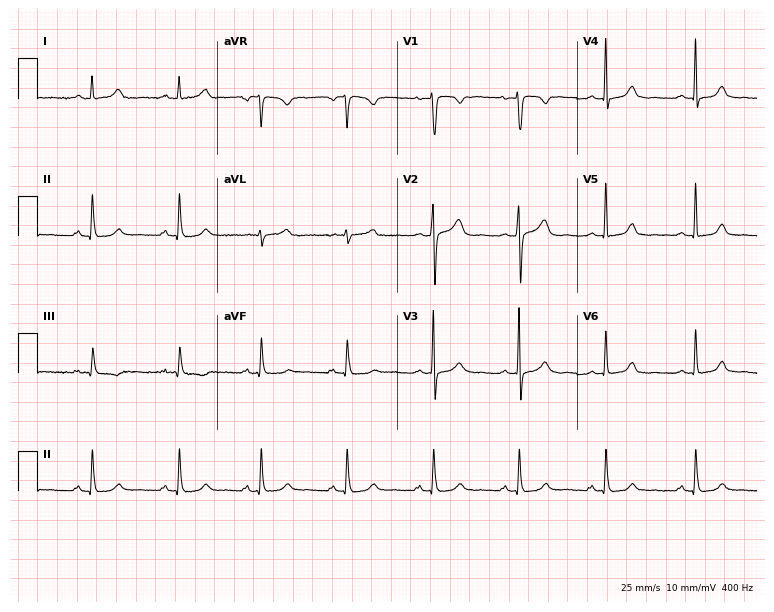
Standard 12-lead ECG recorded from a female, 27 years old. Read as a normal ECG.